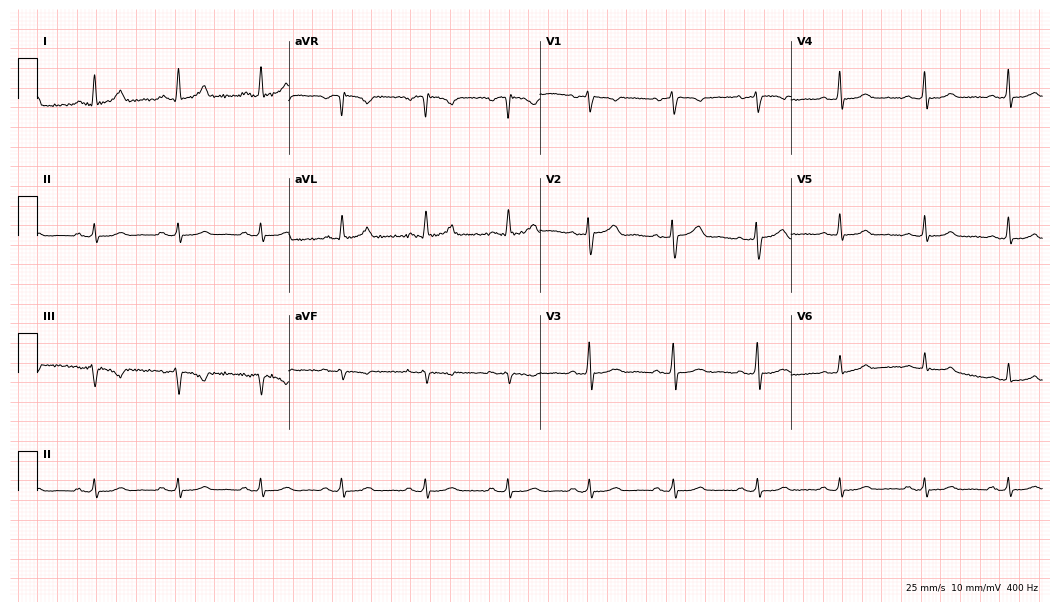
Resting 12-lead electrocardiogram. Patient: a 54-year-old female. None of these six findings is recorded: first-degree AV block, right bundle branch block, left bundle branch block, sinus bradycardia, atrial fibrillation, sinus tachycardia. Only these six findings were labelled.